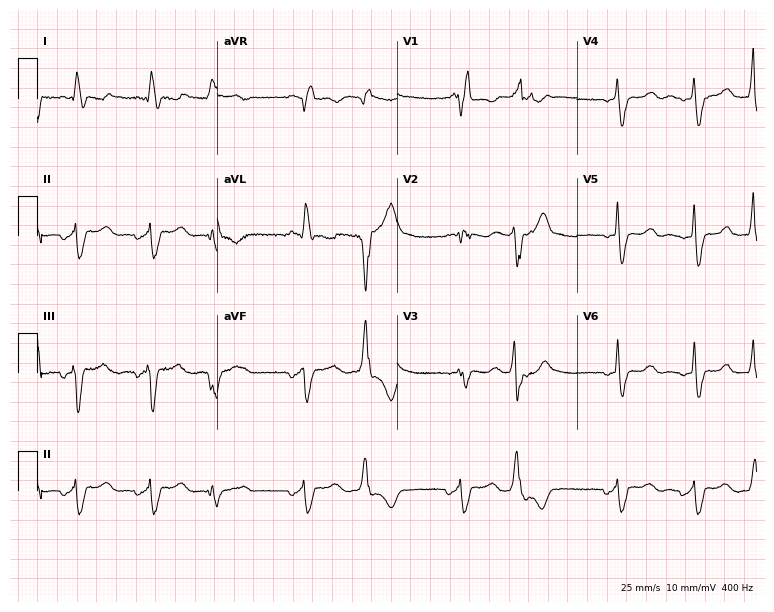
ECG — a female, 66 years old. Findings include right bundle branch block (RBBB).